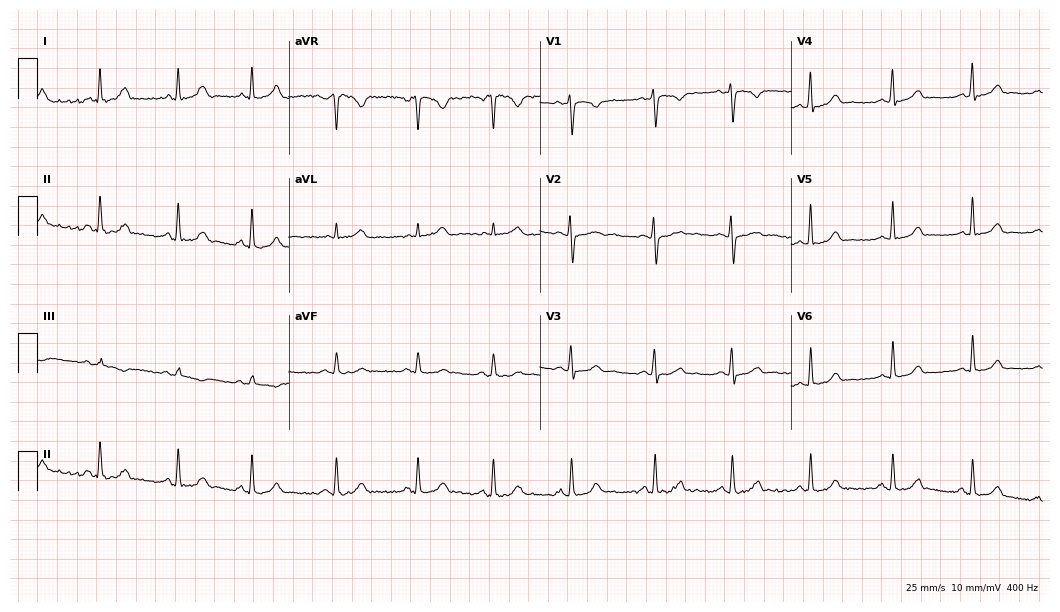
ECG (10.2-second recording at 400 Hz) — a 28-year-old woman. Labelled as a normal ECG.